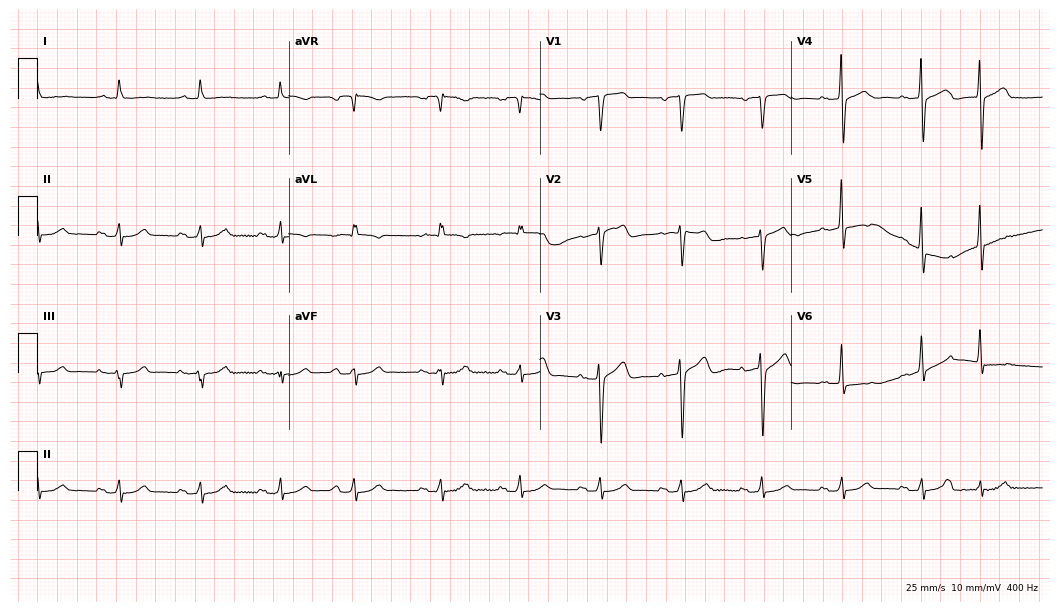
ECG (10.2-second recording at 400 Hz) — an 81-year-old man. Screened for six findings — first-degree AV block, right bundle branch block, left bundle branch block, sinus bradycardia, atrial fibrillation, sinus tachycardia — none is recorded. Other findings, if any, are not listed.